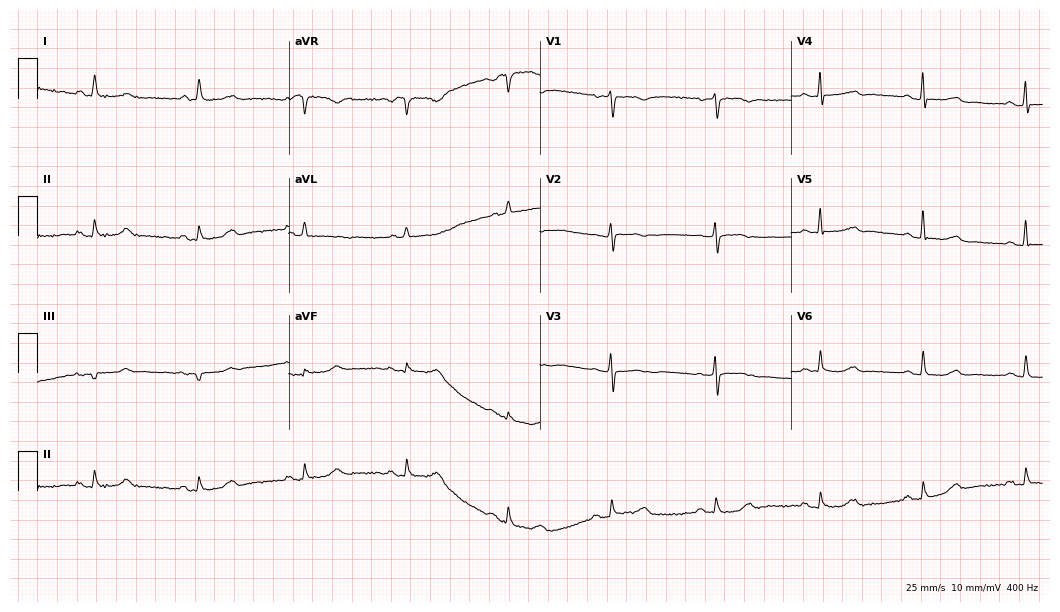
Resting 12-lead electrocardiogram (10.2-second recording at 400 Hz). Patient: a female, 79 years old. None of these six findings is recorded: first-degree AV block, right bundle branch block, left bundle branch block, sinus bradycardia, atrial fibrillation, sinus tachycardia. Findings outside these six are not listed.